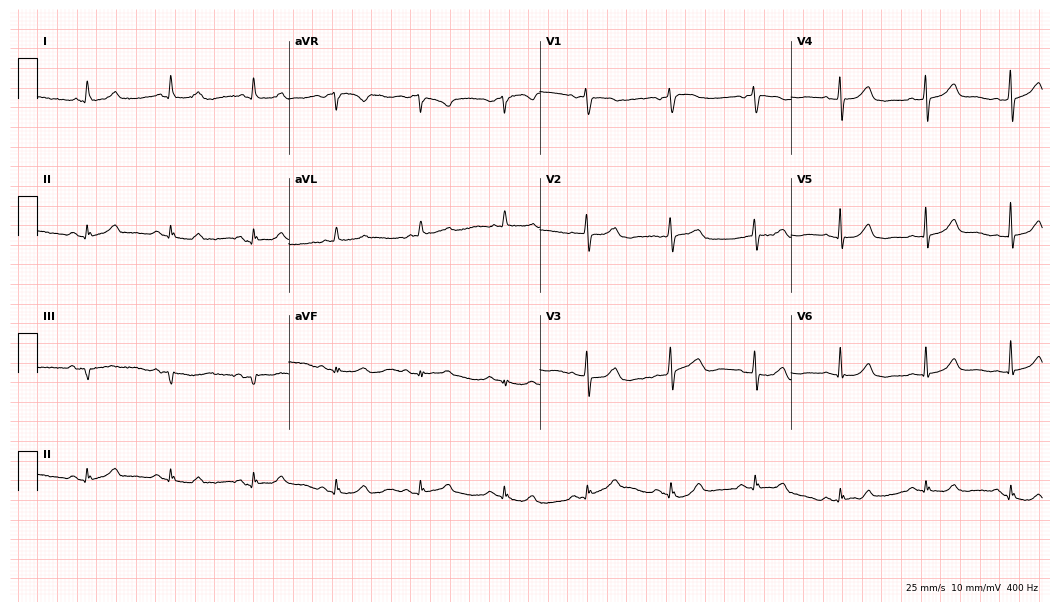
ECG (10.2-second recording at 400 Hz) — a female, 73 years old. Labelled as a normal ECG.